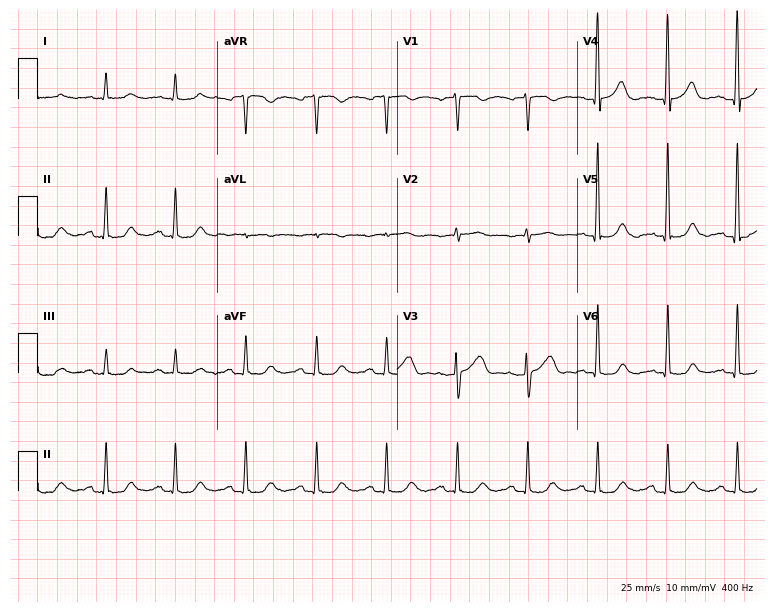
ECG (7.3-second recording at 400 Hz) — a male, 76 years old. Labelled as a normal ECG.